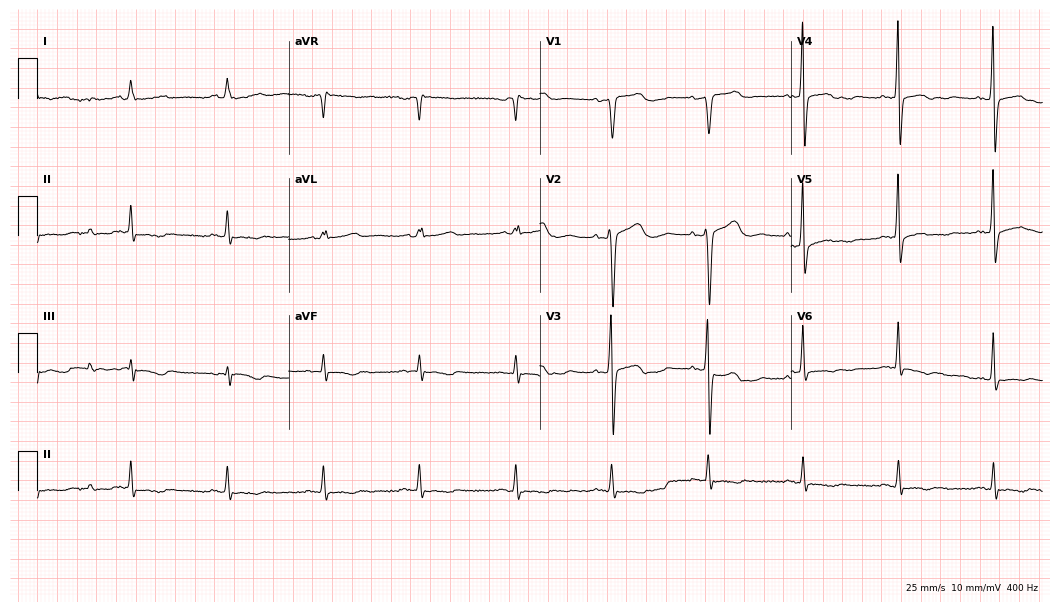
12-lead ECG from a 78-year-old male patient (10.2-second recording at 400 Hz). No first-degree AV block, right bundle branch block (RBBB), left bundle branch block (LBBB), sinus bradycardia, atrial fibrillation (AF) or sinus tachycardia recorded for this tracing.